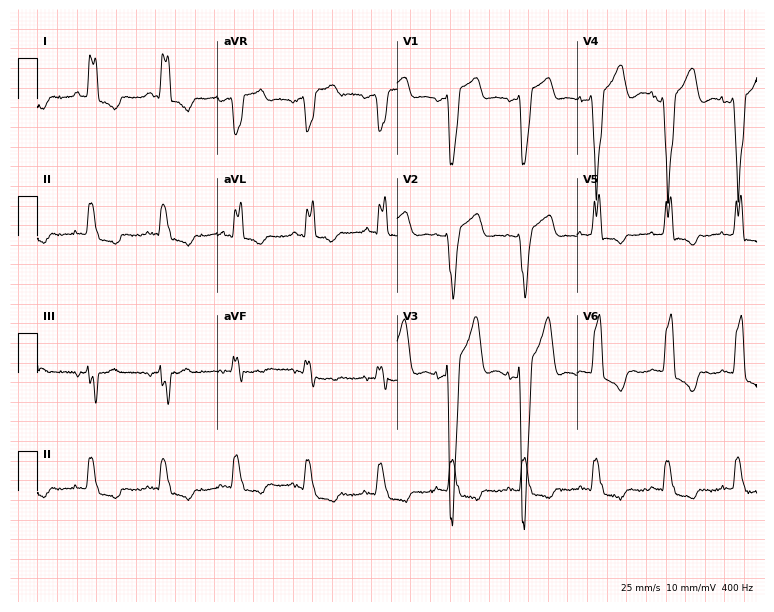
Electrocardiogram (7.3-second recording at 400 Hz), a man, 60 years old. Interpretation includes left bundle branch block (LBBB).